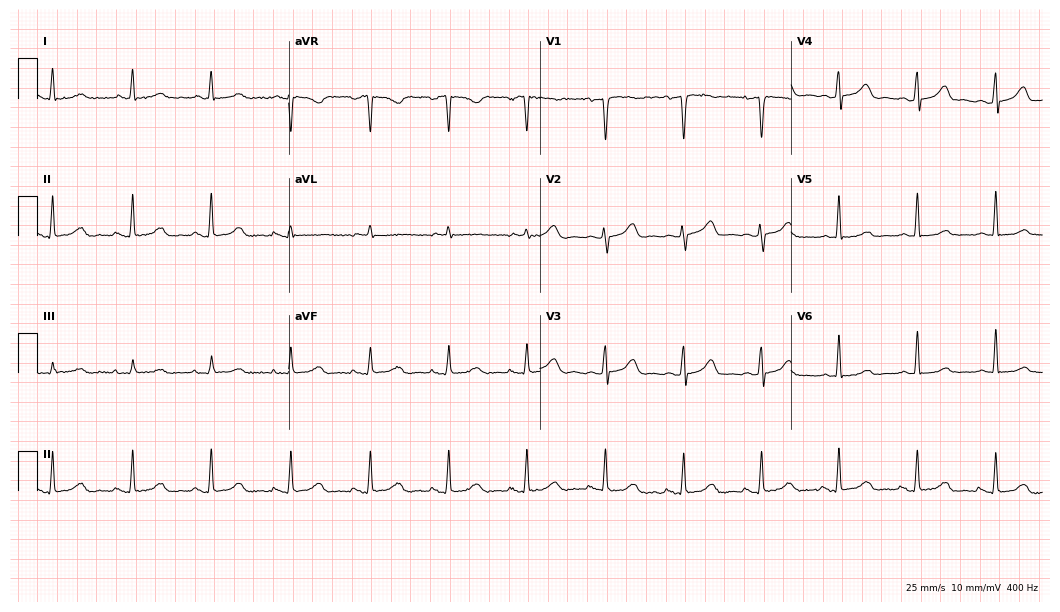
12-lead ECG from a 50-year-old male. Labelled as a normal ECG.